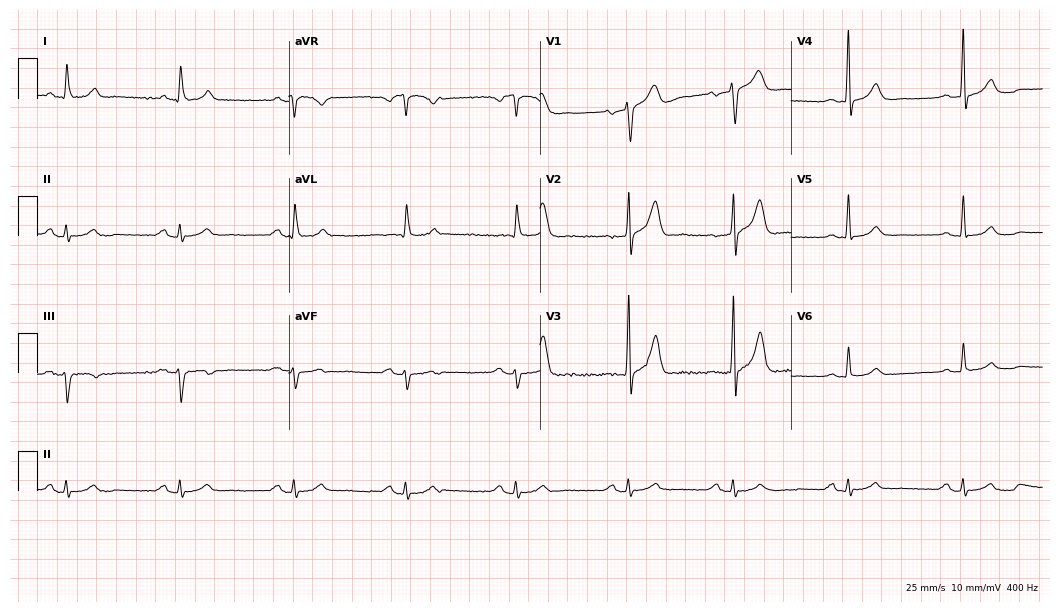
Resting 12-lead electrocardiogram (10.2-second recording at 400 Hz). Patient: a 78-year-old male. Read as a normal ECG.